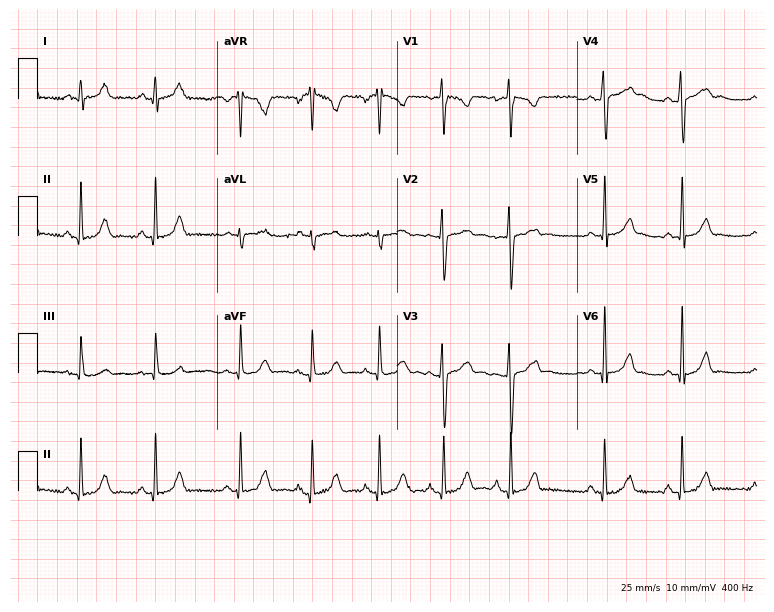
Standard 12-lead ECG recorded from a 21-year-old female. Read as a normal ECG.